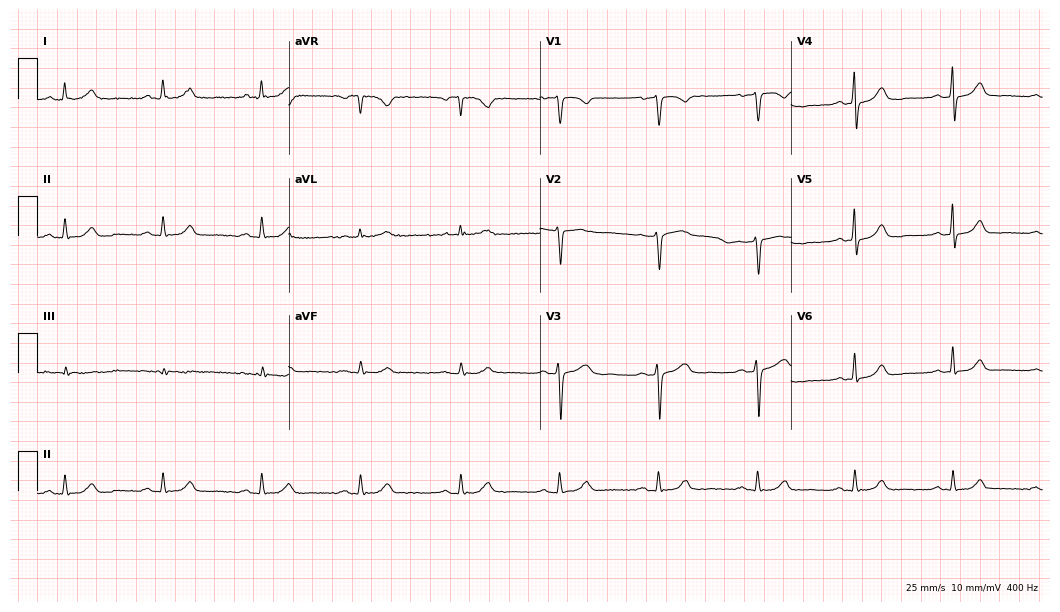
12-lead ECG (10.2-second recording at 400 Hz) from a woman, 64 years old. Labelled as a normal ECG.